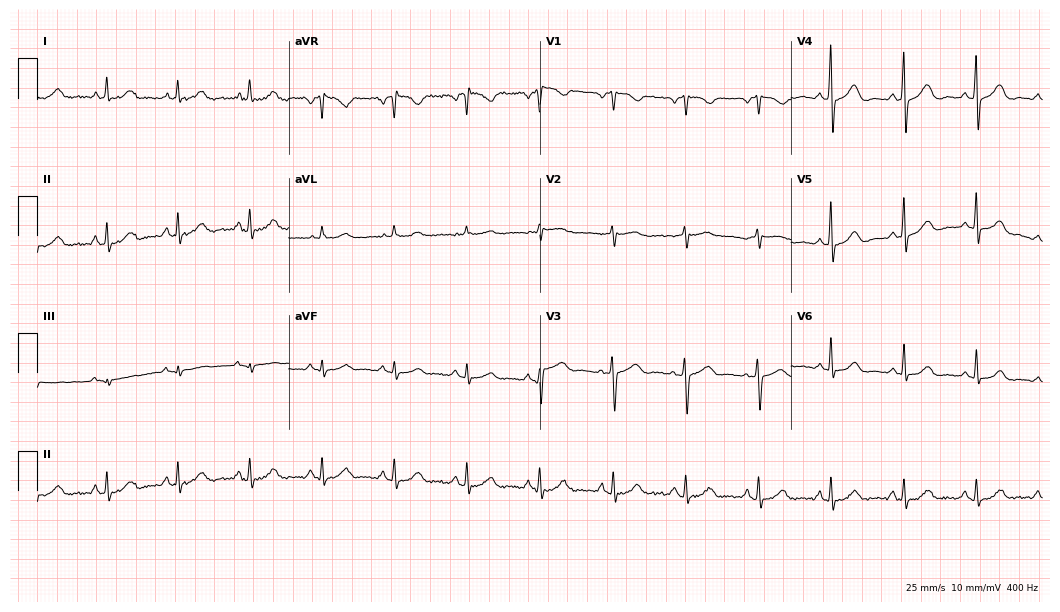
Standard 12-lead ECG recorded from a 67-year-old woman (10.2-second recording at 400 Hz). Read as a normal ECG.